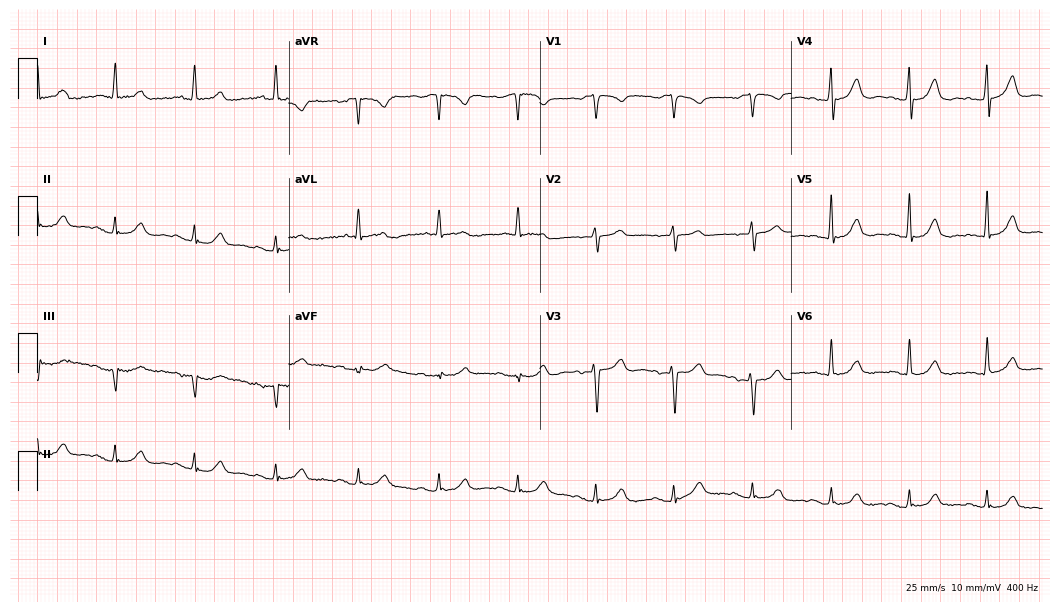
Resting 12-lead electrocardiogram (10.2-second recording at 400 Hz). Patient: a female, 83 years old. Read as a normal ECG.